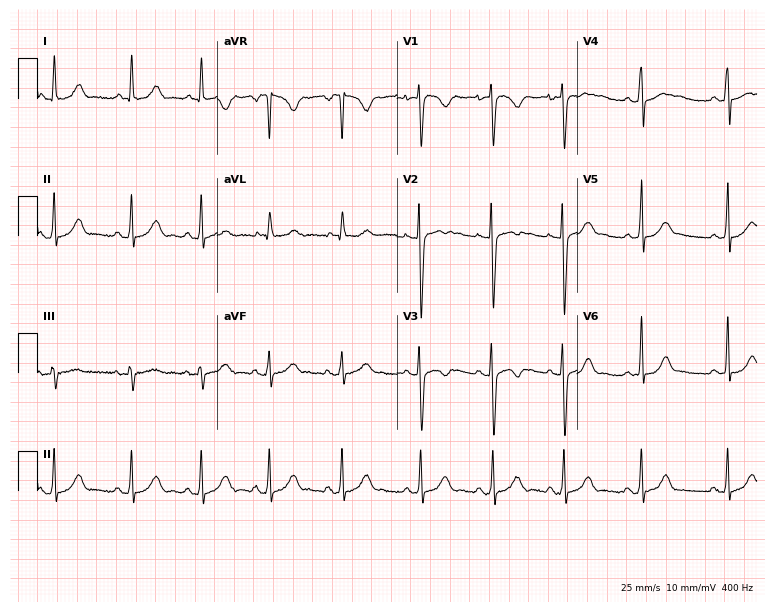
Electrocardiogram (7.3-second recording at 400 Hz), a female patient, 17 years old. Of the six screened findings (first-degree AV block, right bundle branch block, left bundle branch block, sinus bradycardia, atrial fibrillation, sinus tachycardia), none is recorded. Other findings, if any, are not listed.